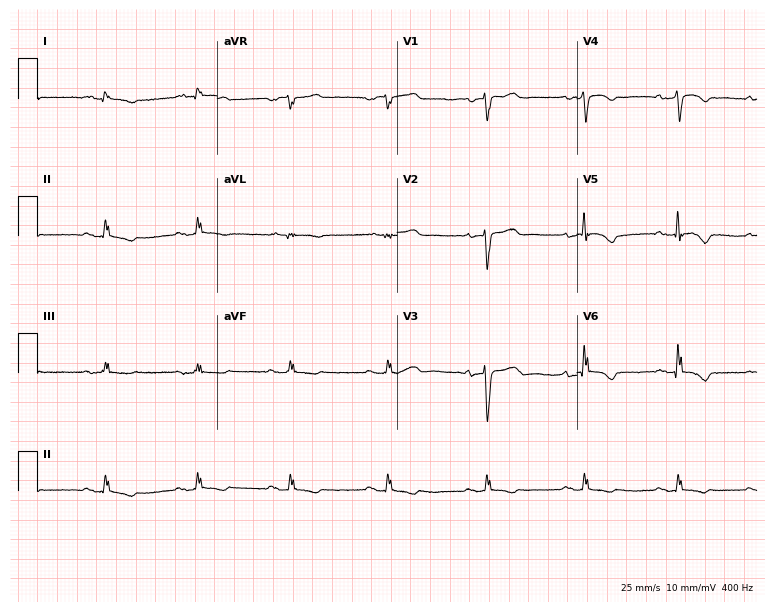
ECG (7.3-second recording at 400 Hz) — a male, 54 years old. Findings include first-degree AV block.